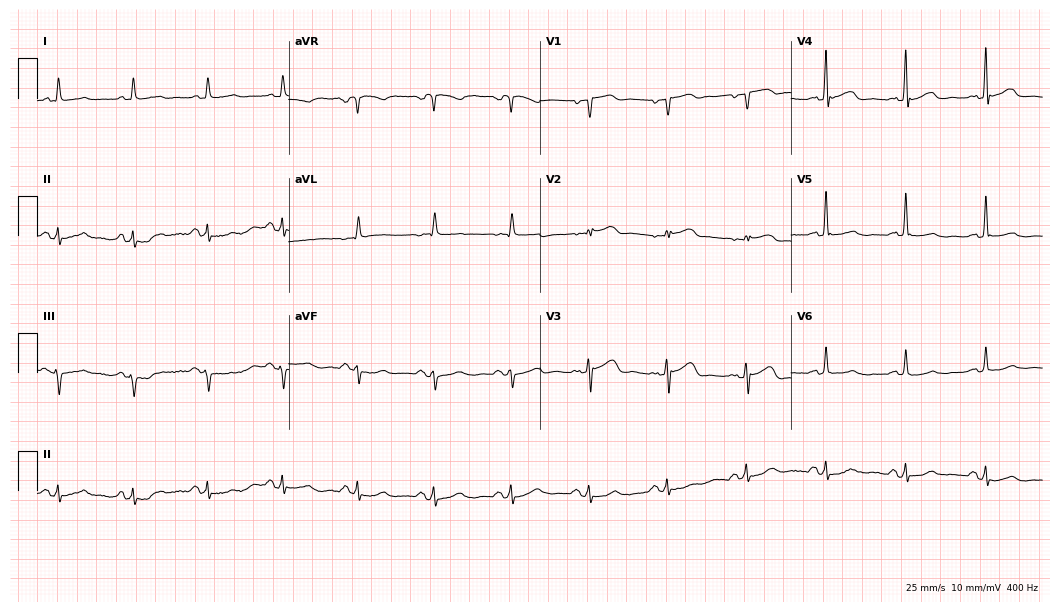
Resting 12-lead electrocardiogram. Patient: a 69-year-old male. None of these six findings is recorded: first-degree AV block, right bundle branch block, left bundle branch block, sinus bradycardia, atrial fibrillation, sinus tachycardia.